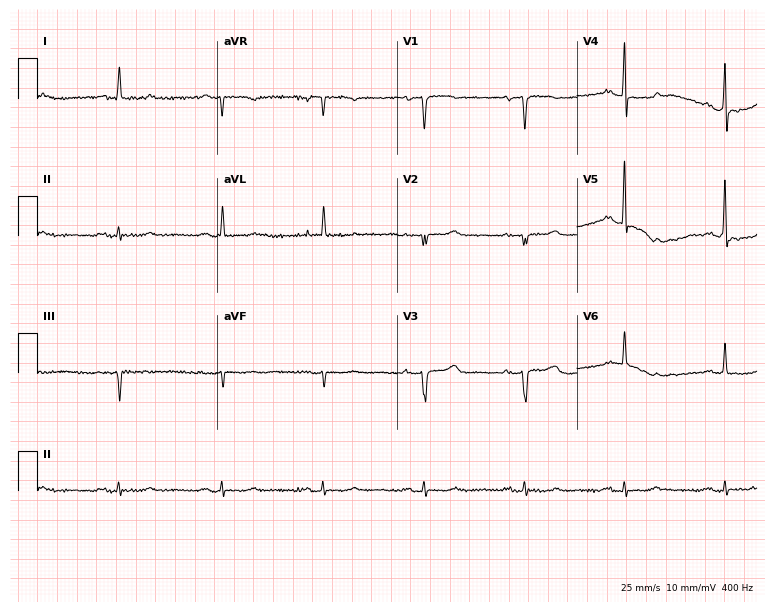
ECG — a 66-year-old male patient. Screened for six findings — first-degree AV block, right bundle branch block (RBBB), left bundle branch block (LBBB), sinus bradycardia, atrial fibrillation (AF), sinus tachycardia — none is recorded. Findings outside these six are not listed.